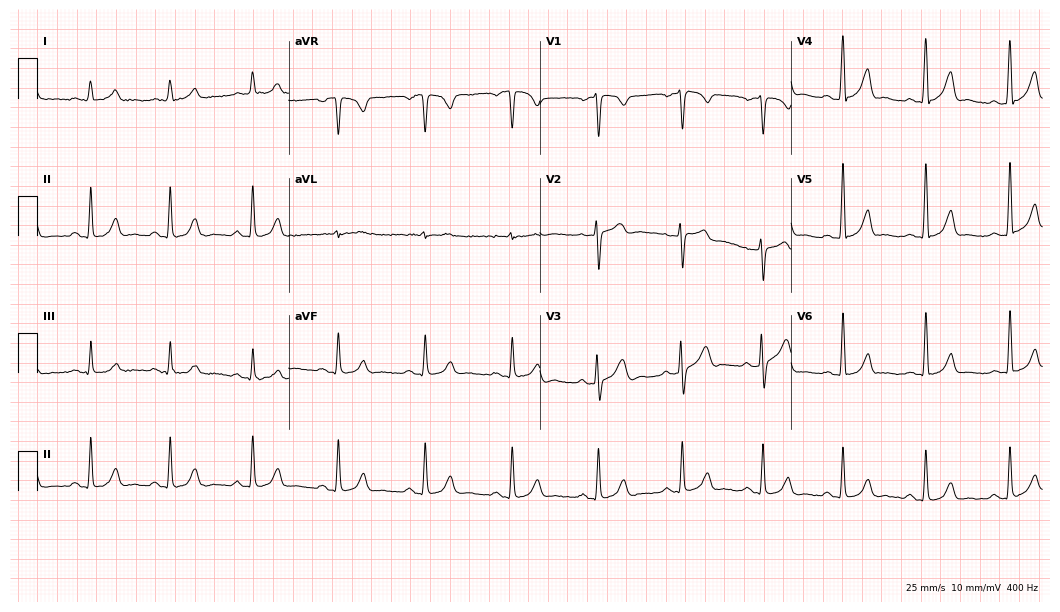
12-lead ECG from a male patient, 50 years old. Labelled as a normal ECG.